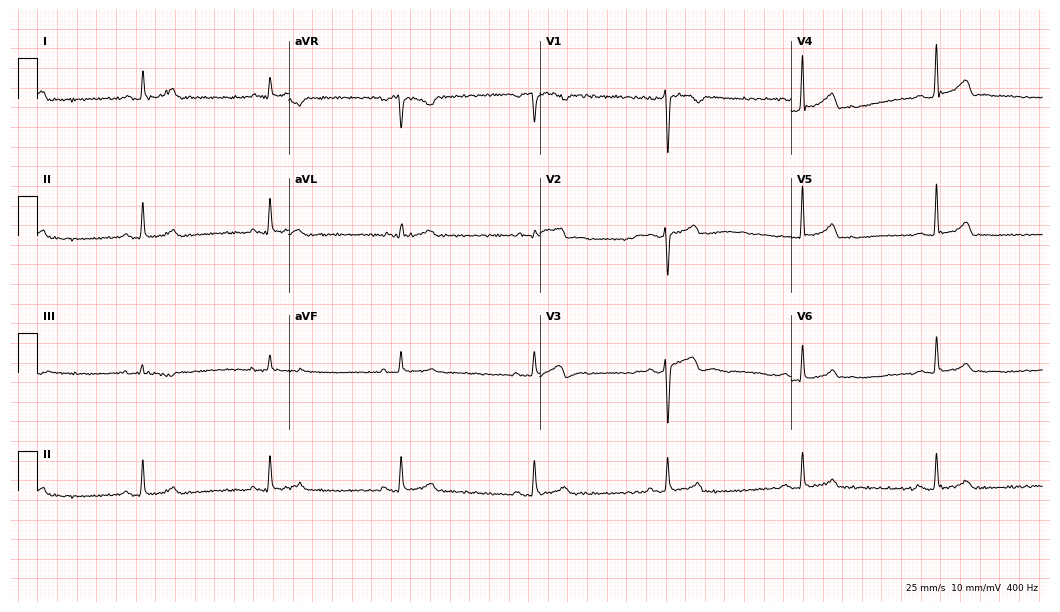
12-lead ECG from a 40-year-old man (10.2-second recording at 400 Hz). No first-degree AV block, right bundle branch block (RBBB), left bundle branch block (LBBB), sinus bradycardia, atrial fibrillation (AF) or sinus tachycardia recorded for this tracing. Other findings, if any, are not listed.